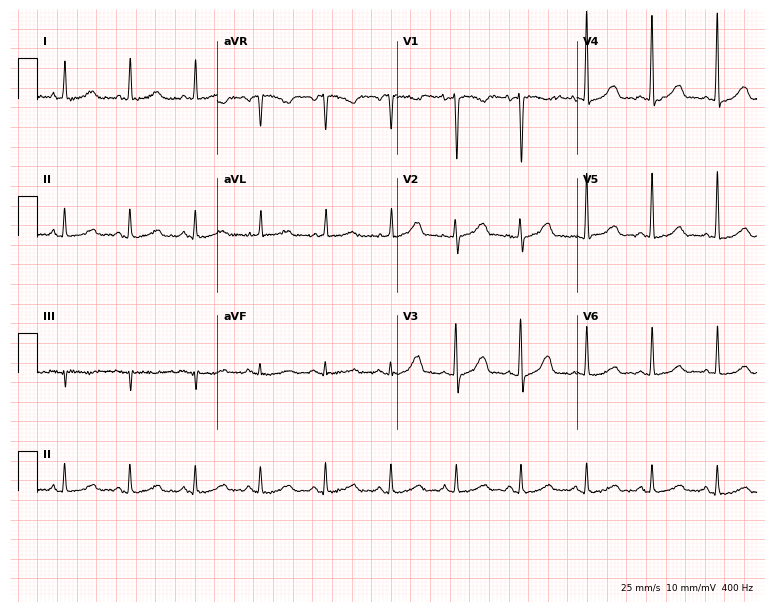
12-lead ECG (7.3-second recording at 400 Hz) from a 69-year-old male. Labelled as a normal ECG.